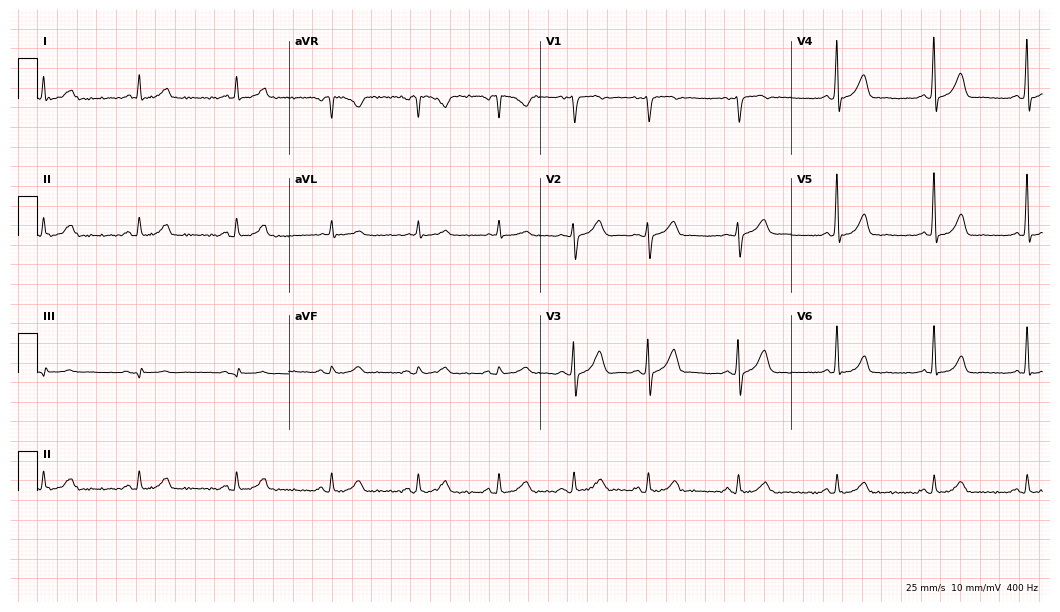
12-lead ECG (10.2-second recording at 400 Hz) from a 57-year-old man. Labelled as a normal ECG.